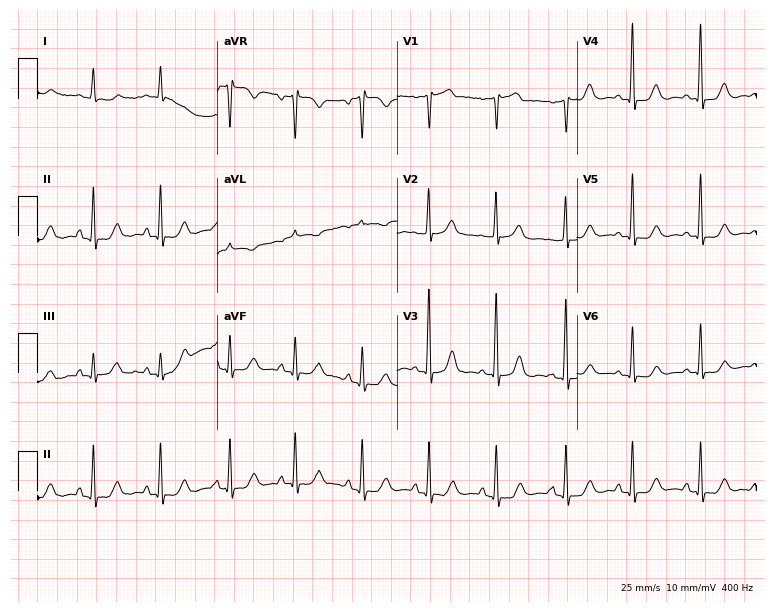
Standard 12-lead ECG recorded from a female, 62 years old. None of these six findings is recorded: first-degree AV block, right bundle branch block, left bundle branch block, sinus bradycardia, atrial fibrillation, sinus tachycardia. Other findings, if any, are not listed.